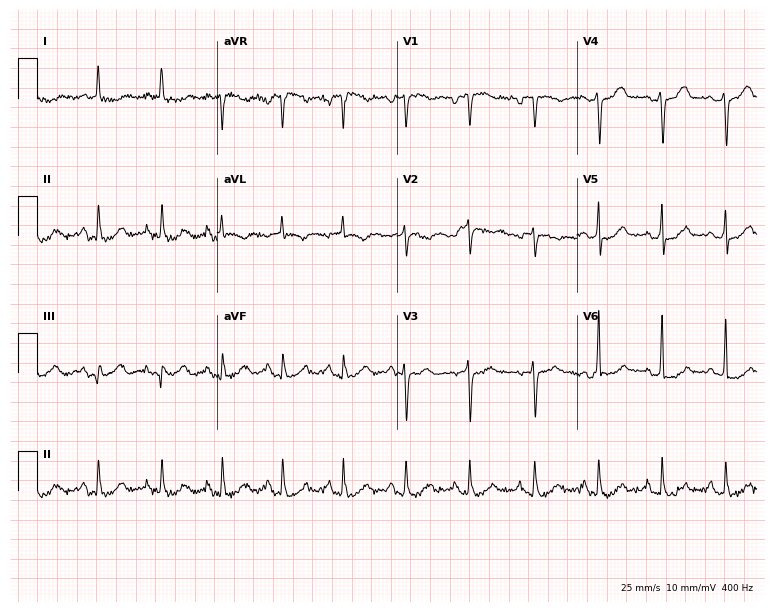
12-lead ECG from a male patient, 64 years old. Screened for six findings — first-degree AV block, right bundle branch block, left bundle branch block, sinus bradycardia, atrial fibrillation, sinus tachycardia — none is recorded.